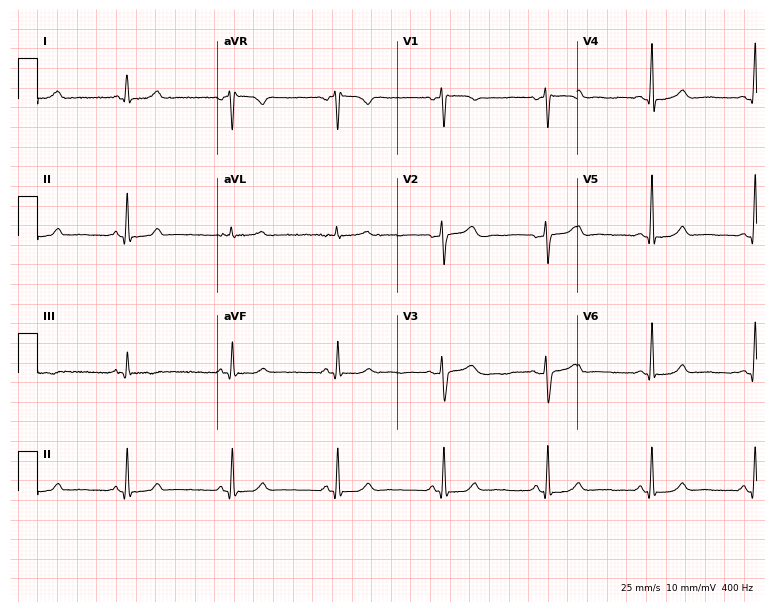
Electrocardiogram, a woman, 45 years old. Of the six screened findings (first-degree AV block, right bundle branch block (RBBB), left bundle branch block (LBBB), sinus bradycardia, atrial fibrillation (AF), sinus tachycardia), none is recorded.